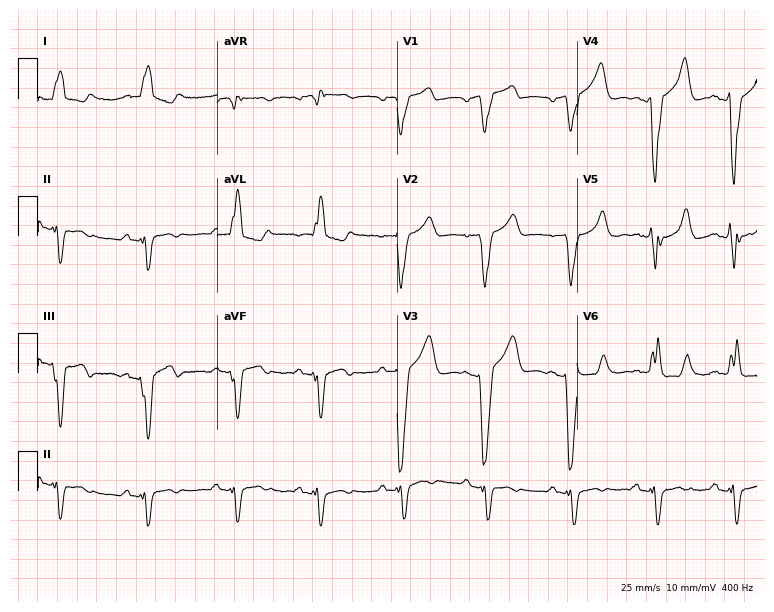
Resting 12-lead electrocardiogram. Patient: a 51-year-old man. The tracing shows left bundle branch block (LBBB).